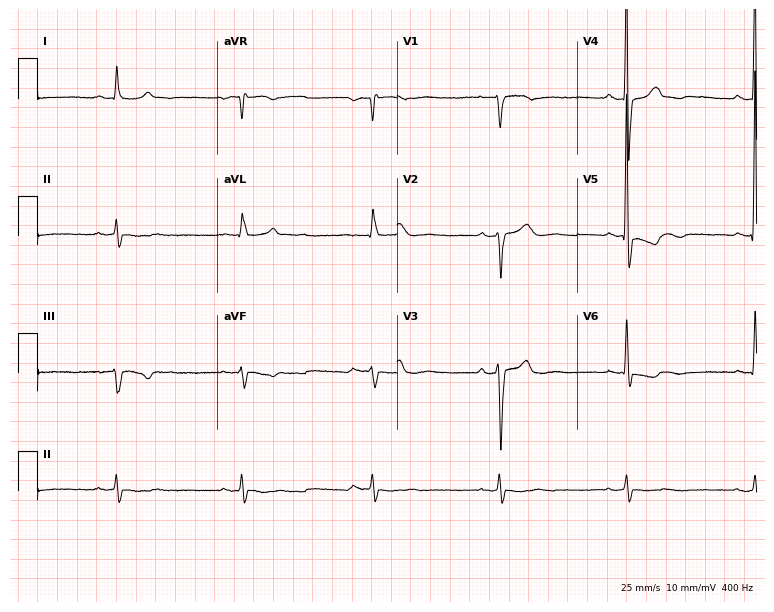
Electrocardiogram, an 84-year-old male patient. Interpretation includes sinus bradycardia (a sinus rate of 50 beats per minute or less).